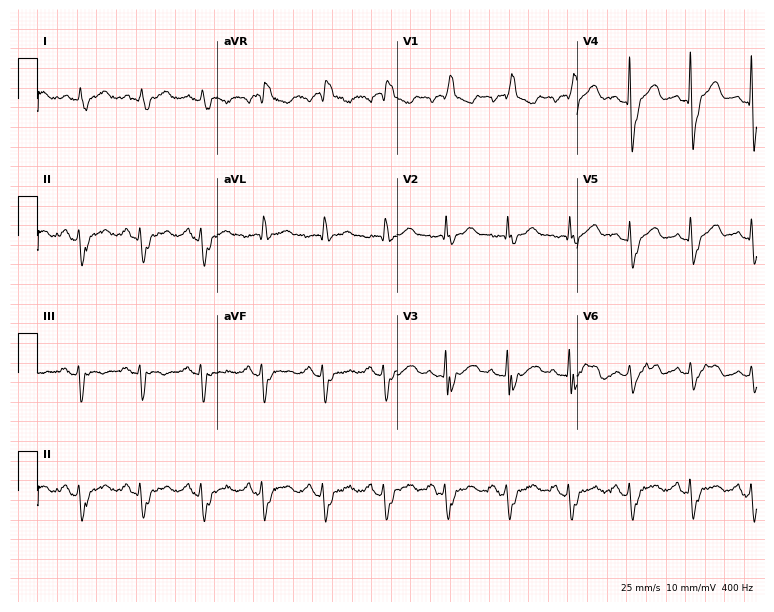
12-lead ECG from a male patient, 78 years old. Findings include right bundle branch block.